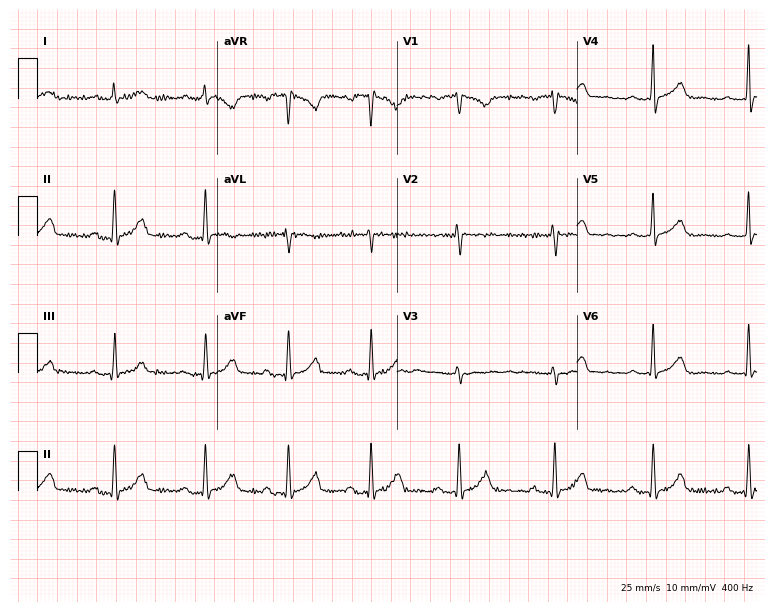
Electrocardiogram (7.3-second recording at 400 Hz), a woman, 18 years old. Overall reading on record: normal ECG.